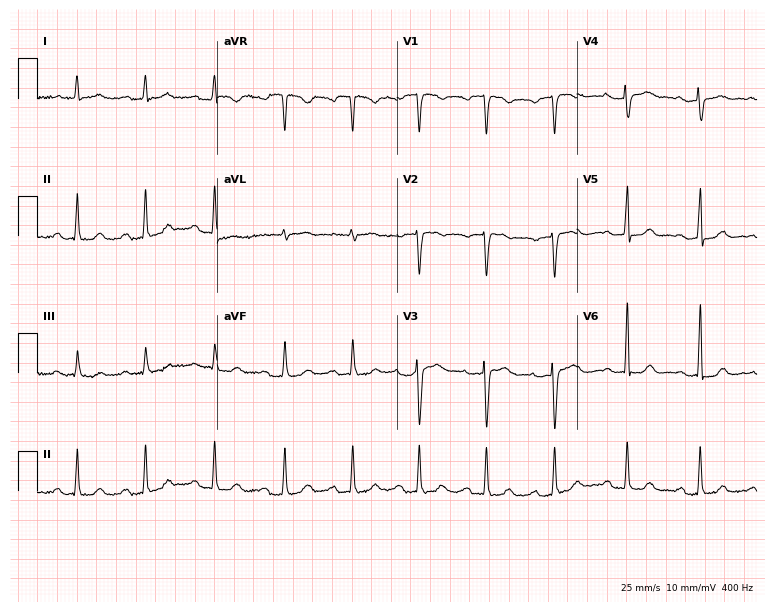
12-lead ECG (7.3-second recording at 400 Hz) from a 49-year-old female patient. Labelled as a normal ECG.